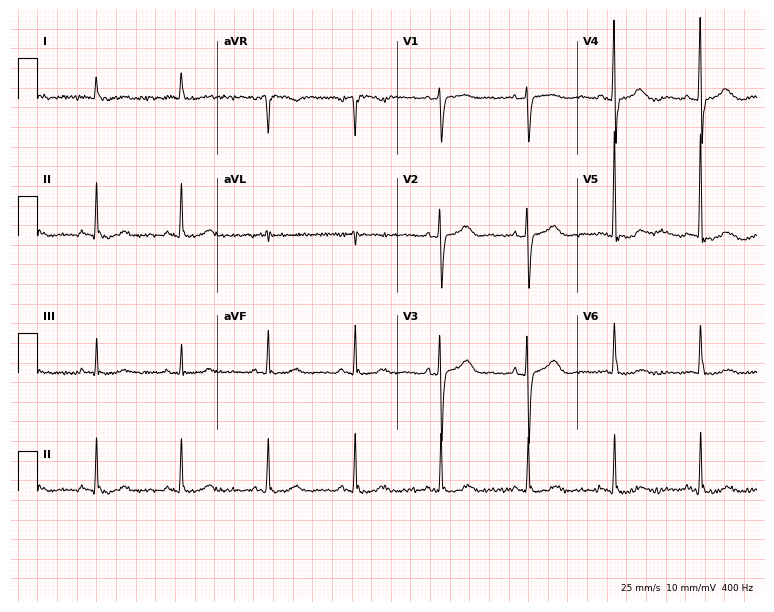
Electrocardiogram (7.3-second recording at 400 Hz), a female patient, 81 years old. Of the six screened findings (first-degree AV block, right bundle branch block (RBBB), left bundle branch block (LBBB), sinus bradycardia, atrial fibrillation (AF), sinus tachycardia), none is recorded.